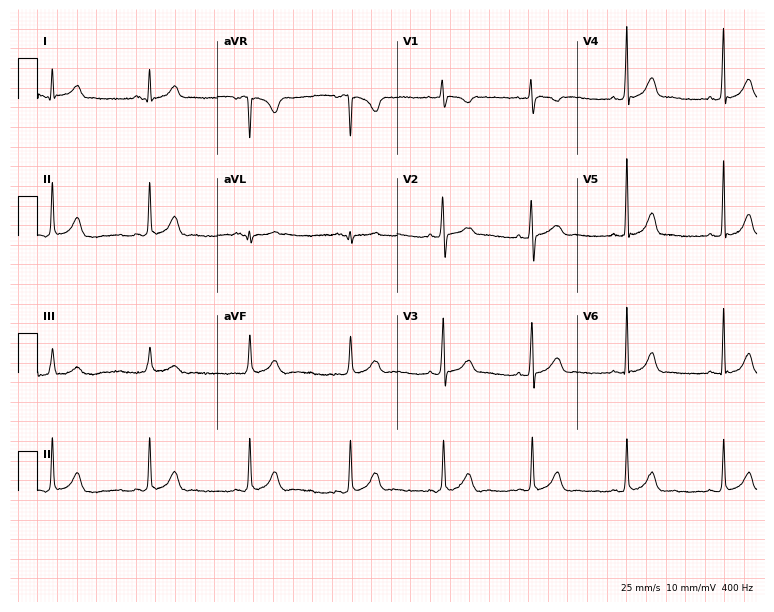
12-lead ECG from a 27-year-old female. Recorded interpretation: within normal limits.